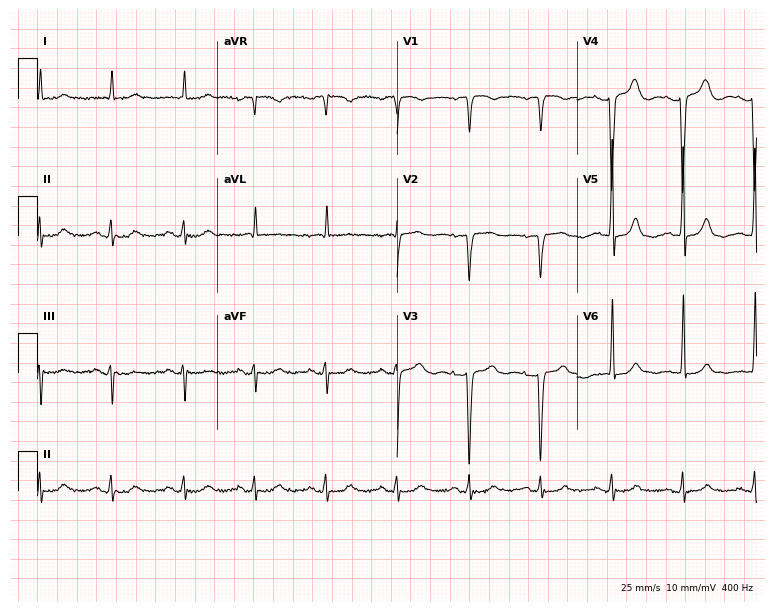
ECG (7.3-second recording at 400 Hz) — a female, 82 years old. Labelled as a normal ECG.